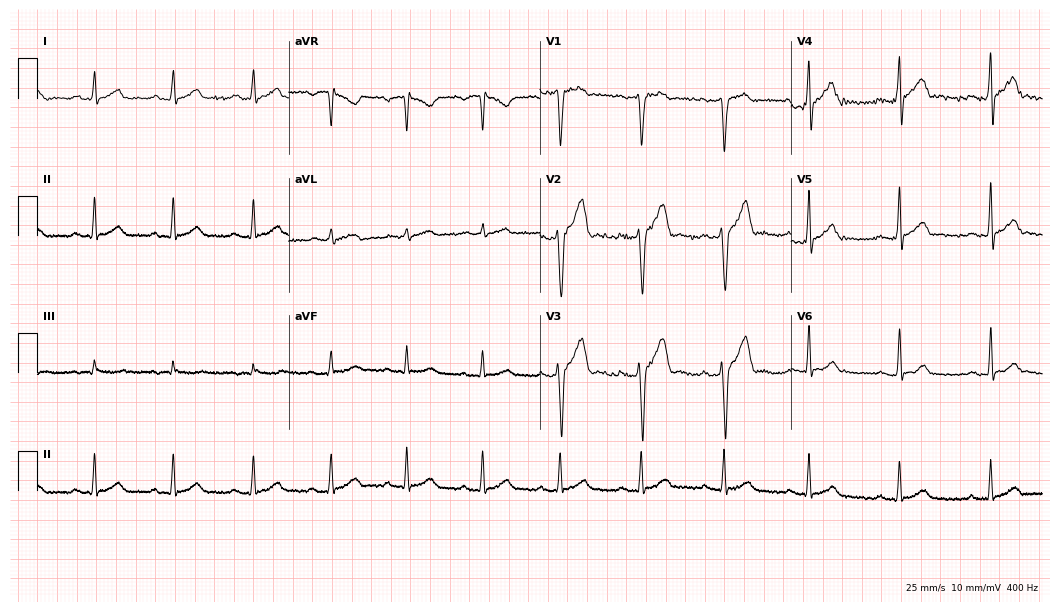
Electrocardiogram (10.2-second recording at 400 Hz), a 30-year-old male. Overall reading on record: normal ECG.